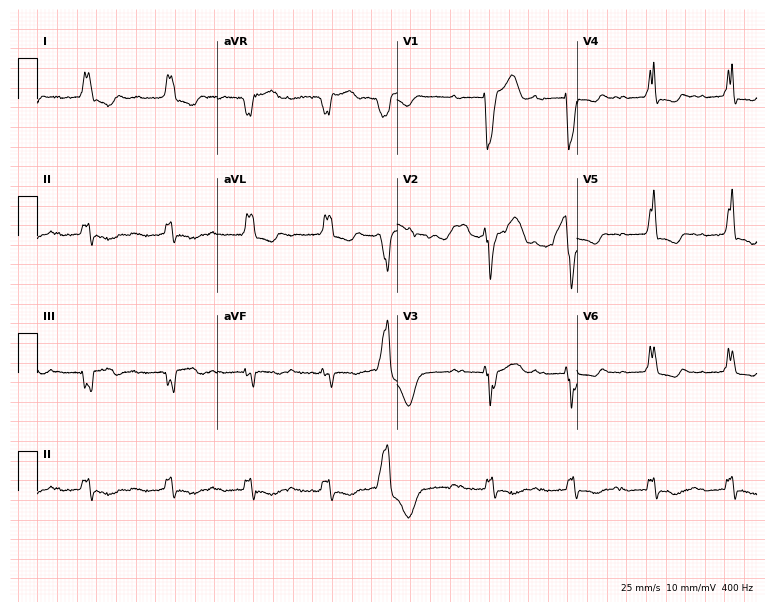
12-lead ECG from an 82-year-old man (7.3-second recording at 400 Hz). Shows first-degree AV block, left bundle branch block, atrial fibrillation.